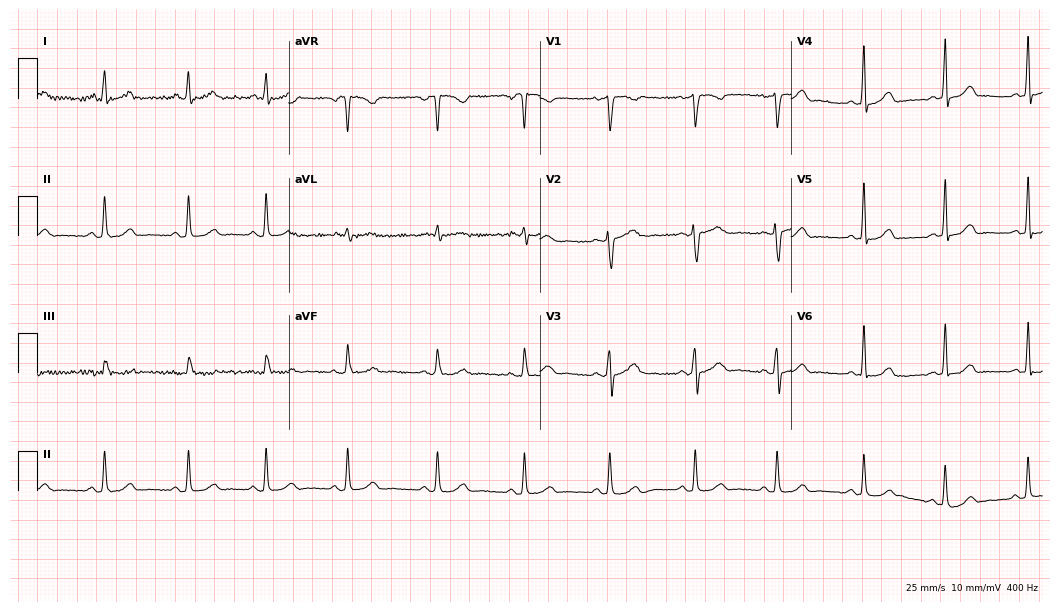
Resting 12-lead electrocardiogram (10.2-second recording at 400 Hz). Patient: a 37-year-old female. Read as a normal ECG.